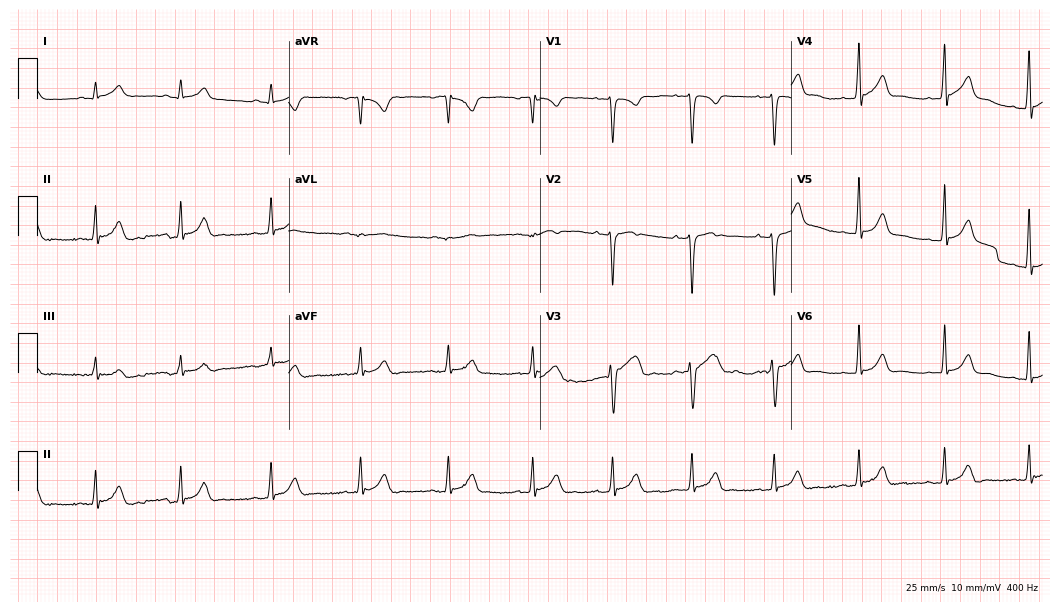
12-lead ECG from a 30-year-old male (10.2-second recording at 400 Hz). No first-degree AV block, right bundle branch block (RBBB), left bundle branch block (LBBB), sinus bradycardia, atrial fibrillation (AF) or sinus tachycardia recorded for this tracing. Other findings, if any, are not listed.